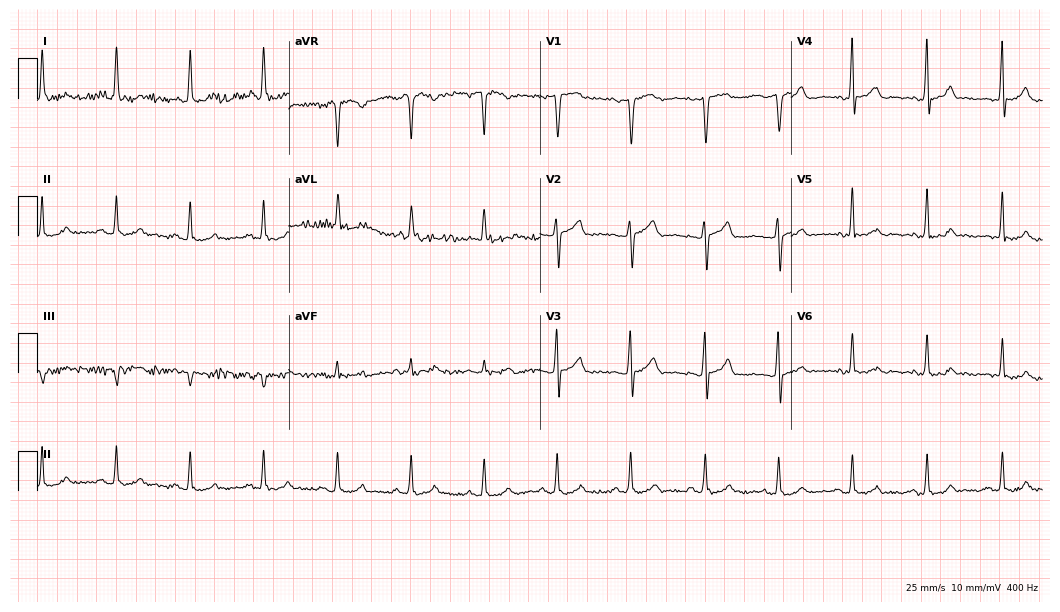
Resting 12-lead electrocardiogram. Patient: a female, 57 years old. None of these six findings is recorded: first-degree AV block, right bundle branch block, left bundle branch block, sinus bradycardia, atrial fibrillation, sinus tachycardia. Only these six findings were labelled.